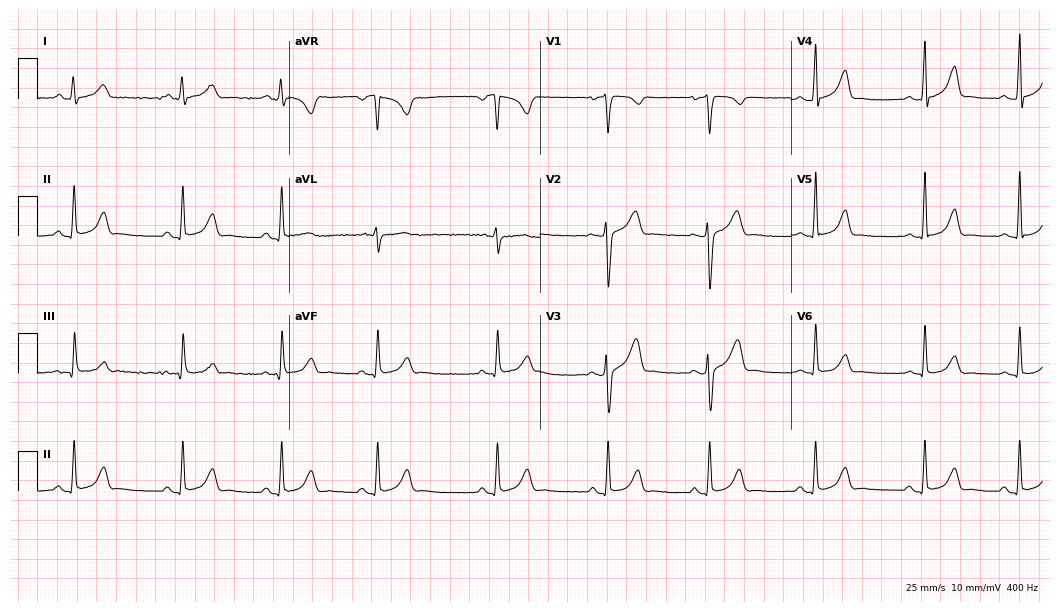
Resting 12-lead electrocardiogram (10.2-second recording at 400 Hz). Patient: a 19-year-old woman. Read as a normal ECG.